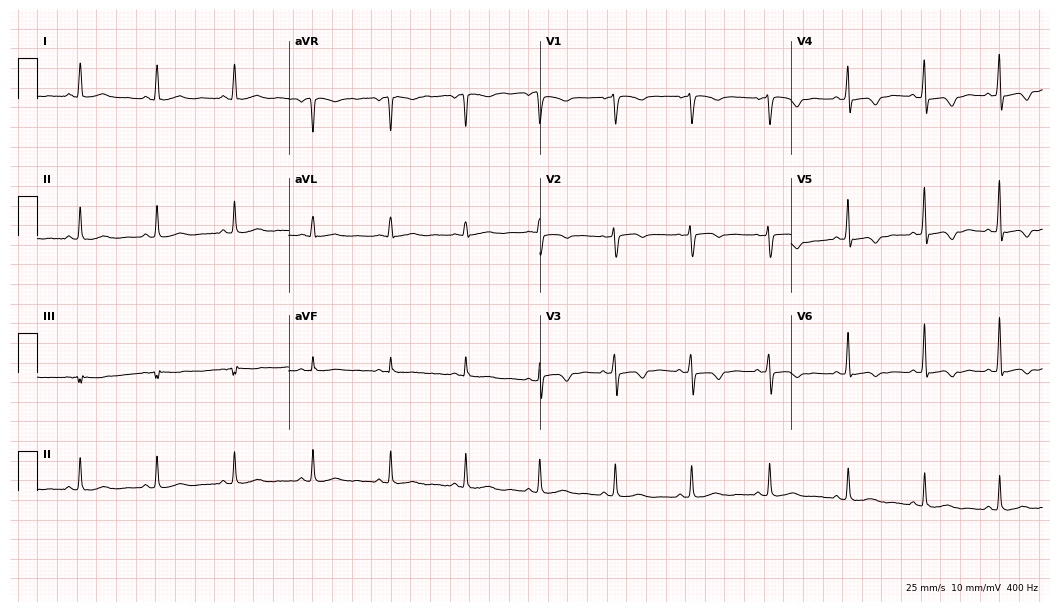
12-lead ECG from a 56-year-old female (10.2-second recording at 400 Hz). No first-degree AV block, right bundle branch block, left bundle branch block, sinus bradycardia, atrial fibrillation or sinus tachycardia recorded for this tracing.